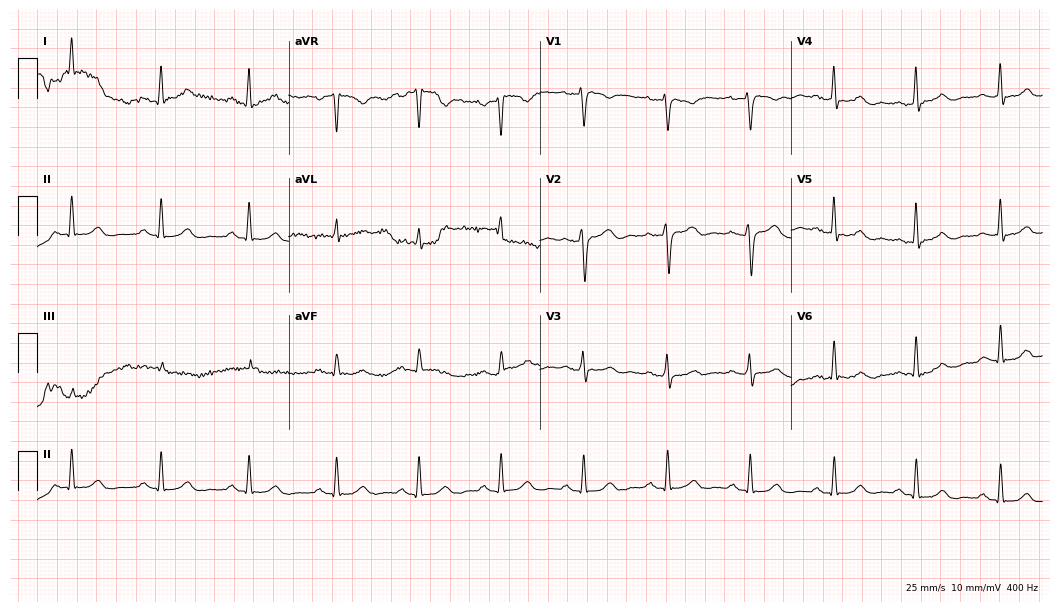
Electrocardiogram, a 53-year-old female. Overall reading on record: normal ECG.